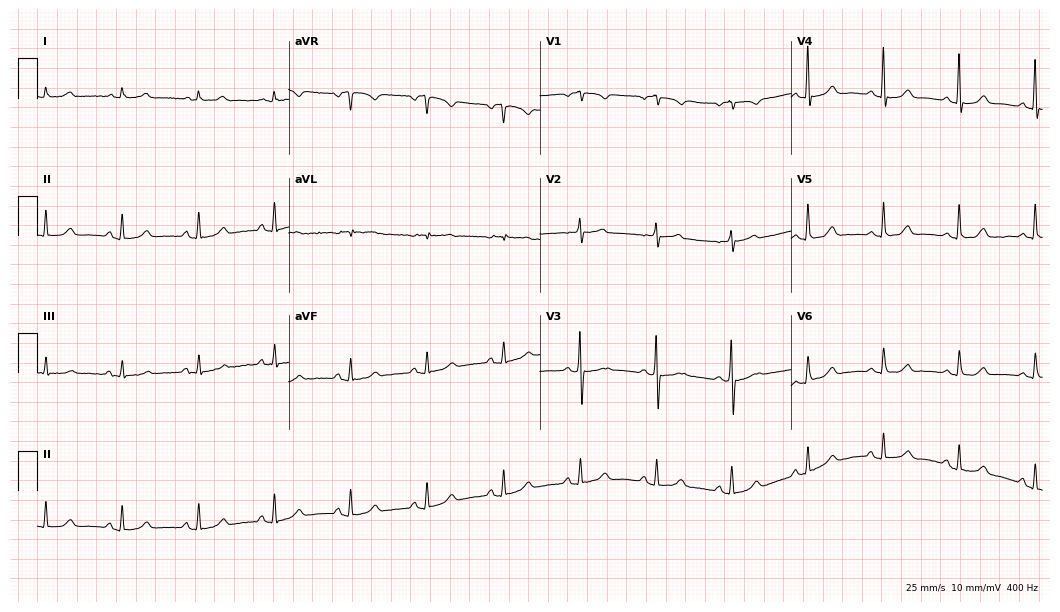
ECG — a female, 82 years old. Labelled as a normal ECG.